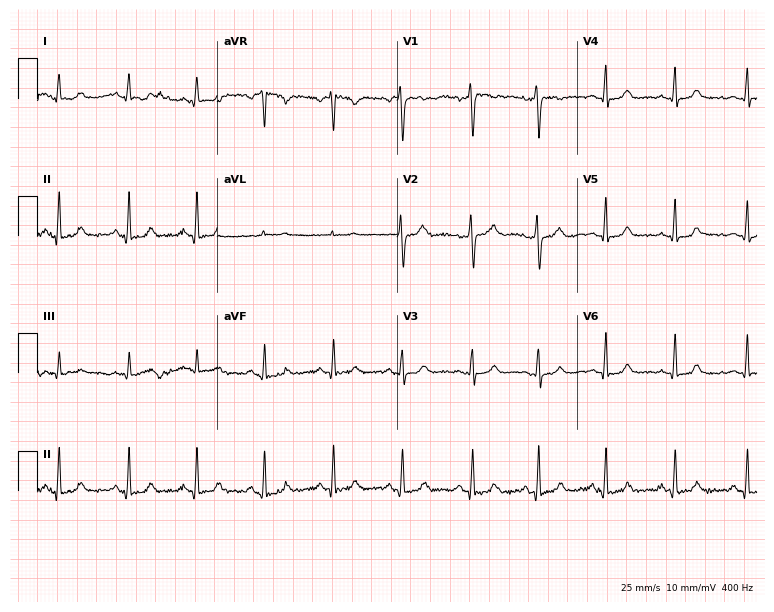
Resting 12-lead electrocardiogram. Patient: a 41-year-old female. Read as a normal ECG.